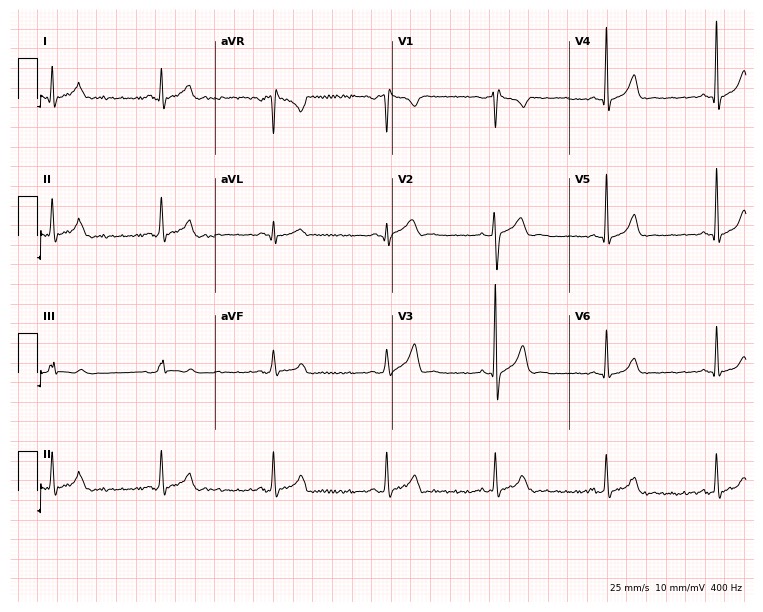
Resting 12-lead electrocardiogram. Patient: a male, 34 years old. None of these six findings is recorded: first-degree AV block, right bundle branch block, left bundle branch block, sinus bradycardia, atrial fibrillation, sinus tachycardia.